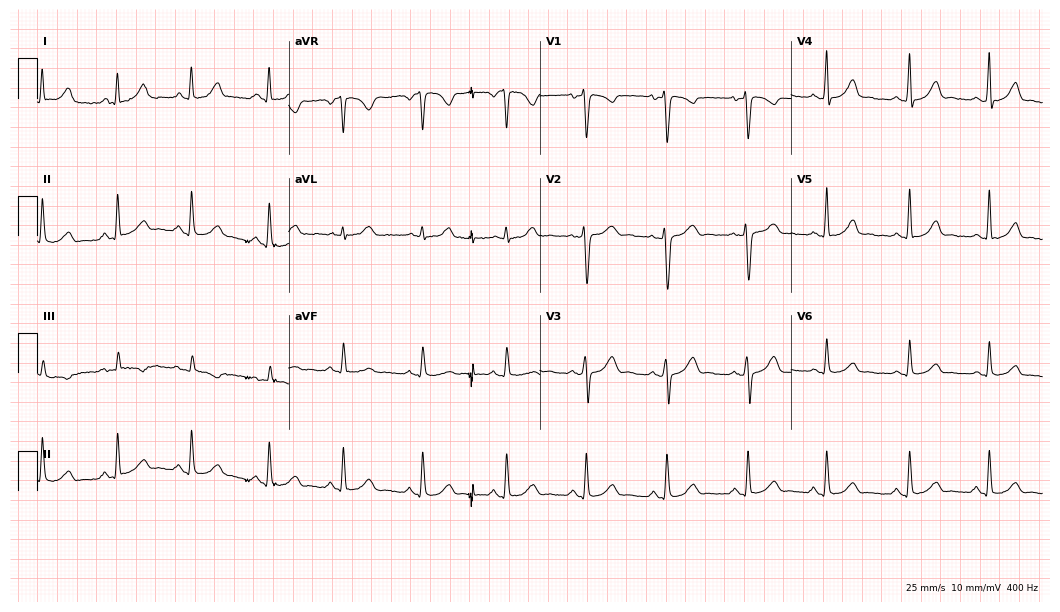
Electrocardiogram, a 23-year-old female patient. Overall reading on record: normal ECG.